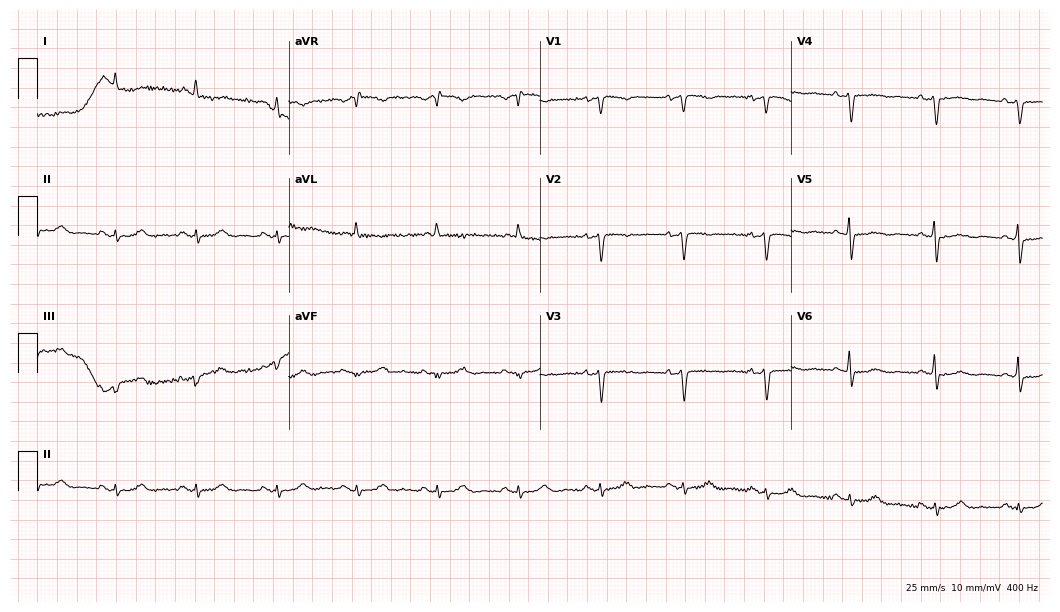
12-lead ECG from a female patient, 76 years old. Screened for six findings — first-degree AV block, right bundle branch block, left bundle branch block, sinus bradycardia, atrial fibrillation, sinus tachycardia — none is recorded.